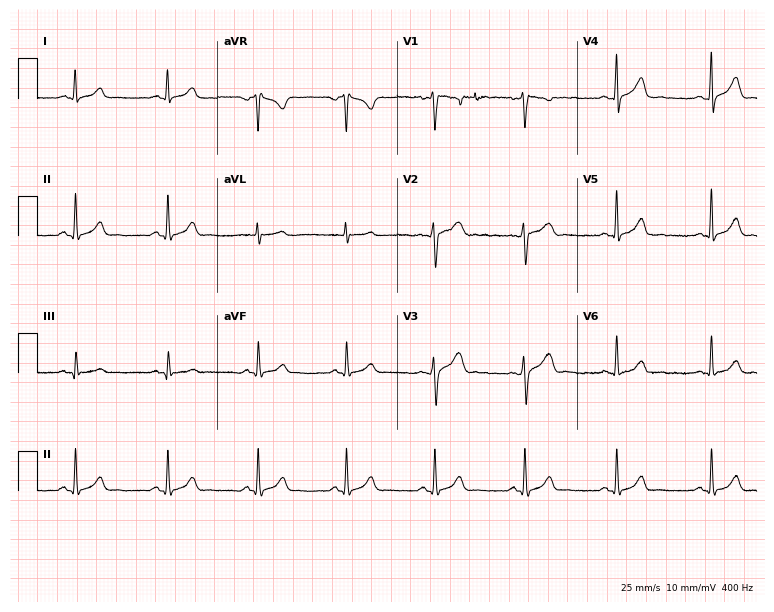
ECG (7.3-second recording at 400 Hz) — a 24-year-old female. Screened for six findings — first-degree AV block, right bundle branch block (RBBB), left bundle branch block (LBBB), sinus bradycardia, atrial fibrillation (AF), sinus tachycardia — none is recorded. Findings outside these six are not listed.